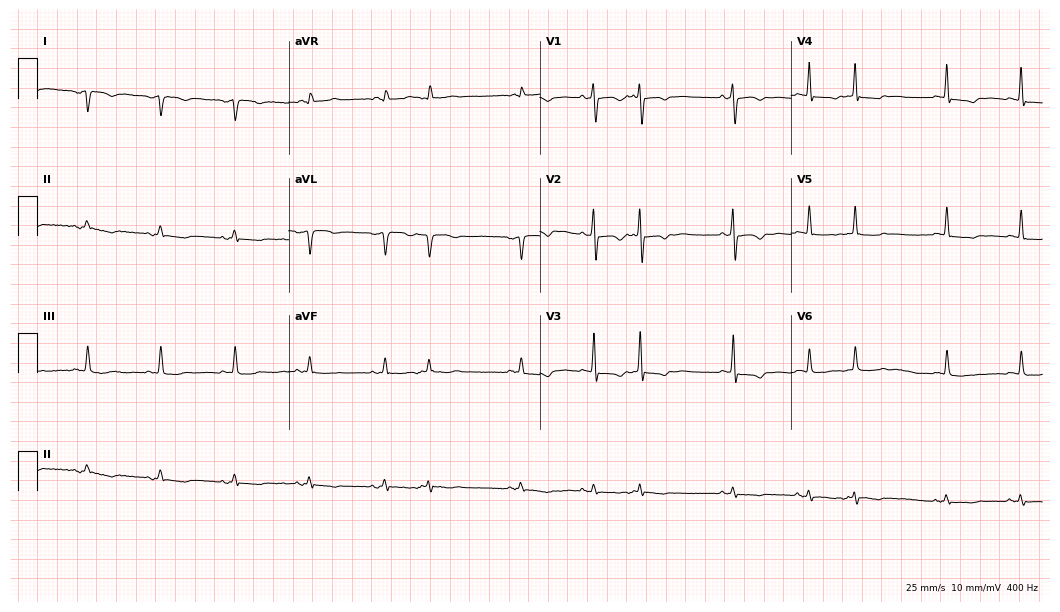
12-lead ECG from a female patient, 75 years old. Screened for six findings — first-degree AV block, right bundle branch block, left bundle branch block, sinus bradycardia, atrial fibrillation, sinus tachycardia — none is recorded.